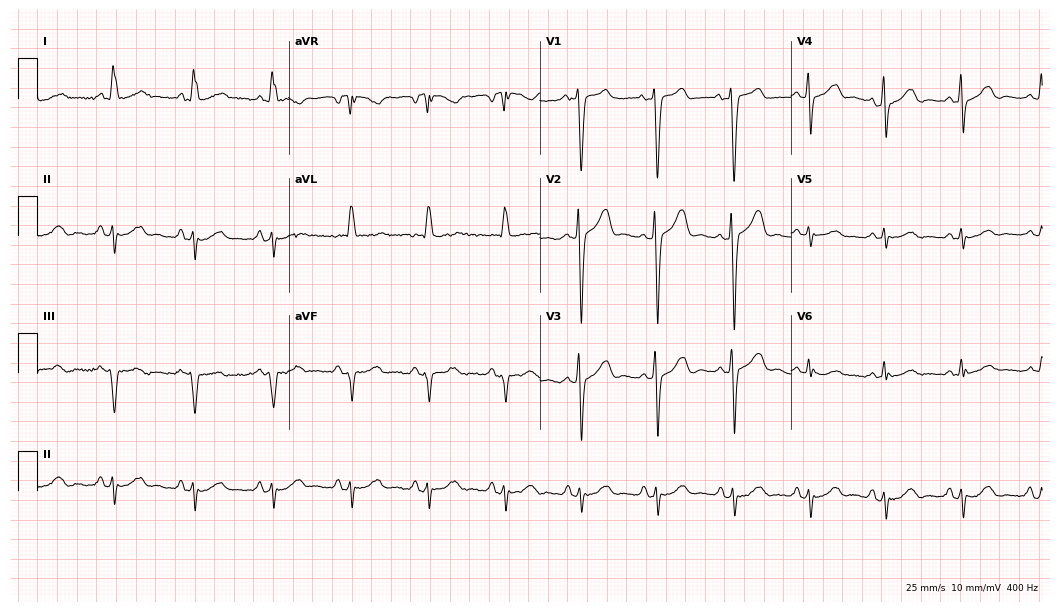
12-lead ECG from a female, 73 years old. Screened for six findings — first-degree AV block, right bundle branch block, left bundle branch block, sinus bradycardia, atrial fibrillation, sinus tachycardia — none is recorded.